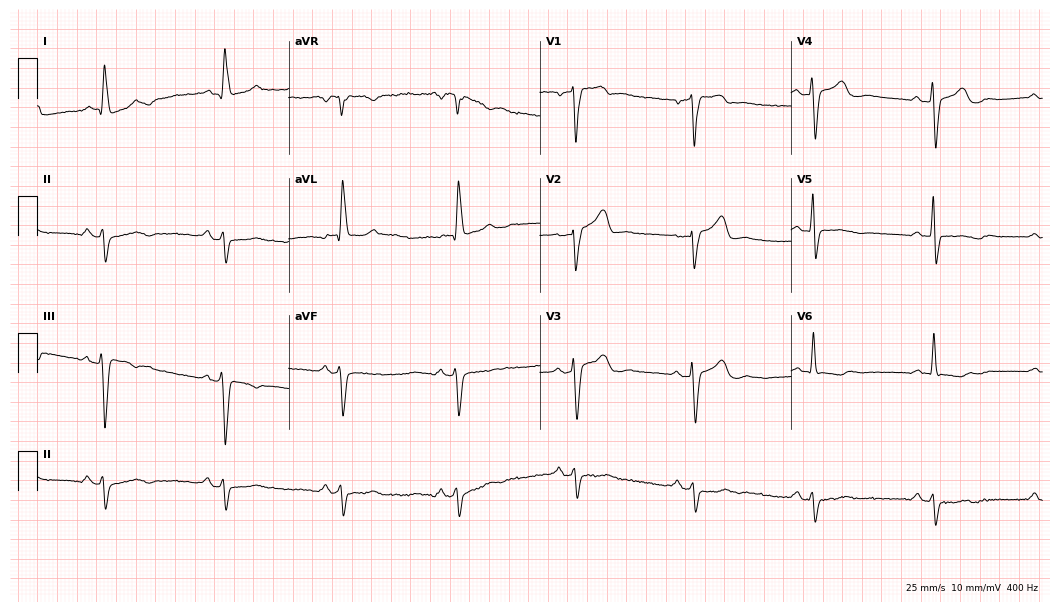
12-lead ECG (10.2-second recording at 400 Hz) from a man, 70 years old. Screened for six findings — first-degree AV block, right bundle branch block, left bundle branch block, sinus bradycardia, atrial fibrillation, sinus tachycardia — none is recorded.